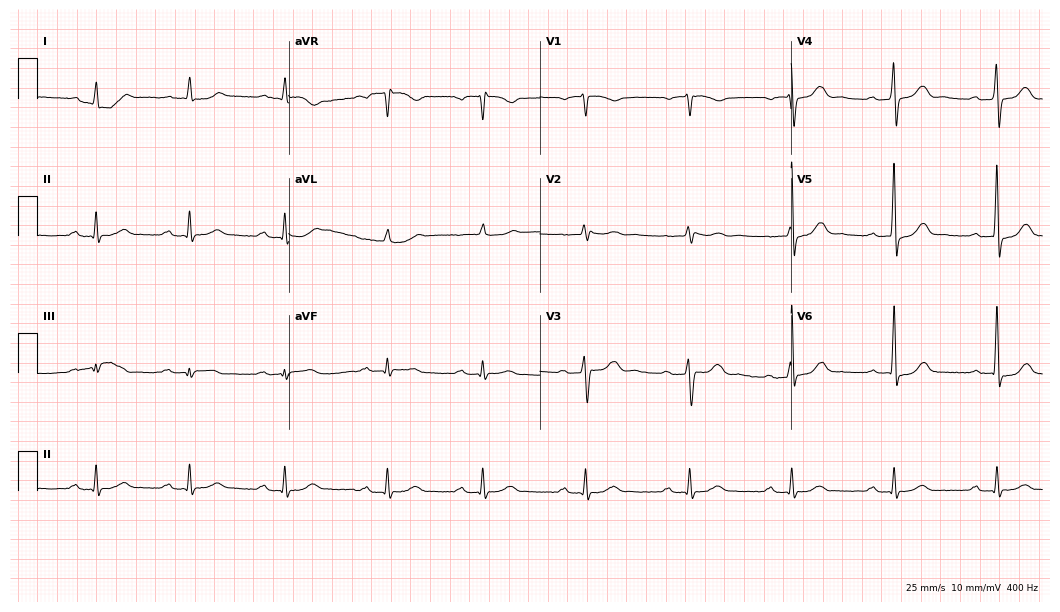
ECG — a male patient, 79 years old. Findings include first-degree AV block.